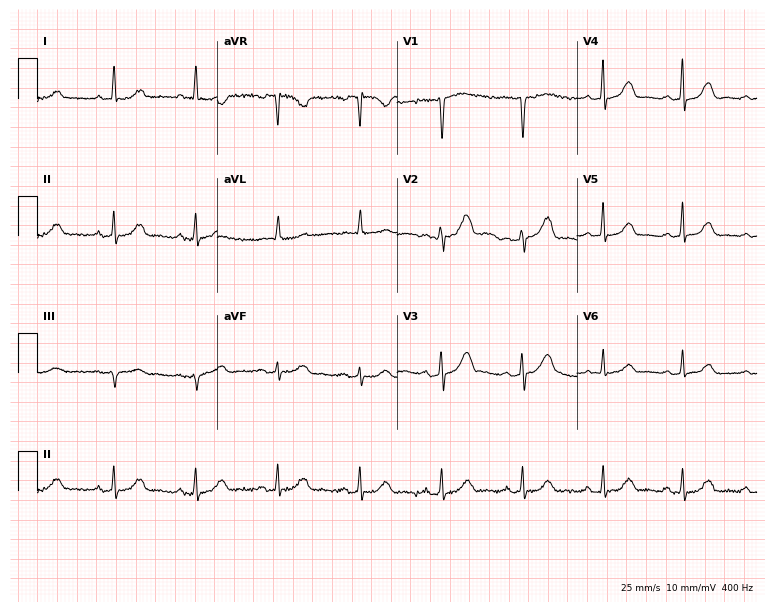
Resting 12-lead electrocardiogram (7.3-second recording at 400 Hz). Patient: a woman, 48 years old. None of these six findings is recorded: first-degree AV block, right bundle branch block, left bundle branch block, sinus bradycardia, atrial fibrillation, sinus tachycardia.